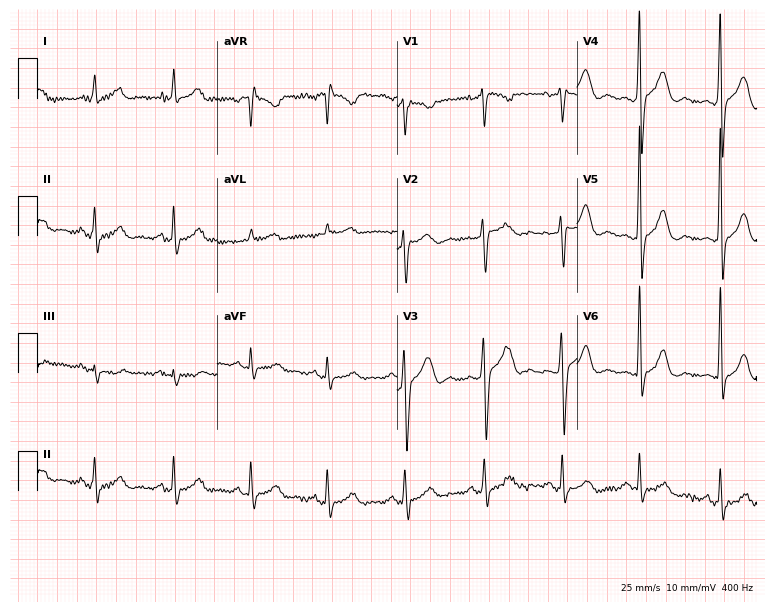
Resting 12-lead electrocardiogram (7.3-second recording at 400 Hz). Patient: a man, 35 years old. None of these six findings is recorded: first-degree AV block, right bundle branch block, left bundle branch block, sinus bradycardia, atrial fibrillation, sinus tachycardia. Other findings, if any, are not listed.